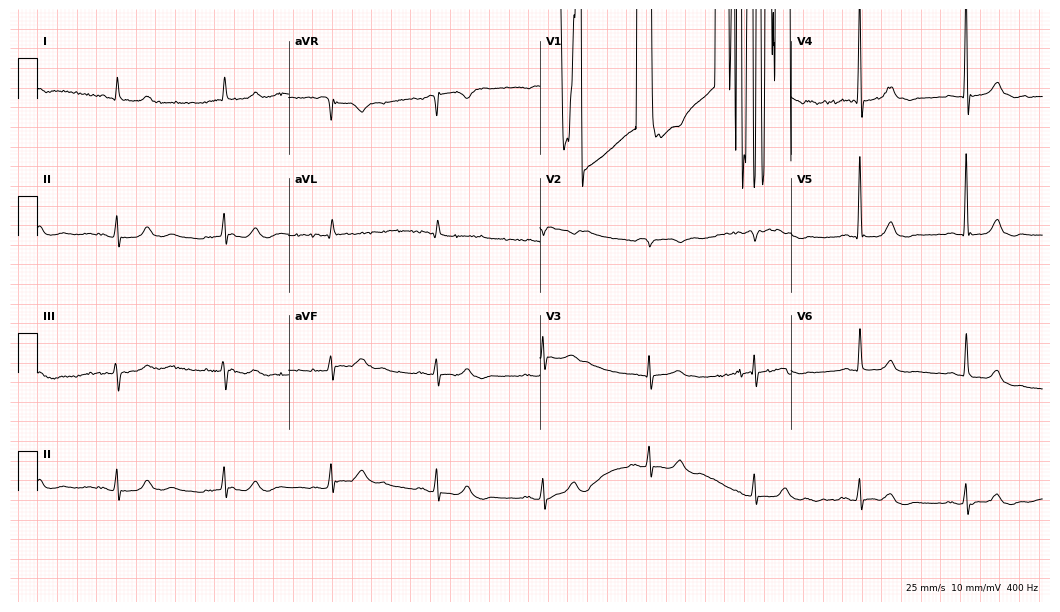
Electrocardiogram (10.2-second recording at 400 Hz), an 81-year-old male patient. Of the six screened findings (first-degree AV block, right bundle branch block (RBBB), left bundle branch block (LBBB), sinus bradycardia, atrial fibrillation (AF), sinus tachycardia), none is recorded.